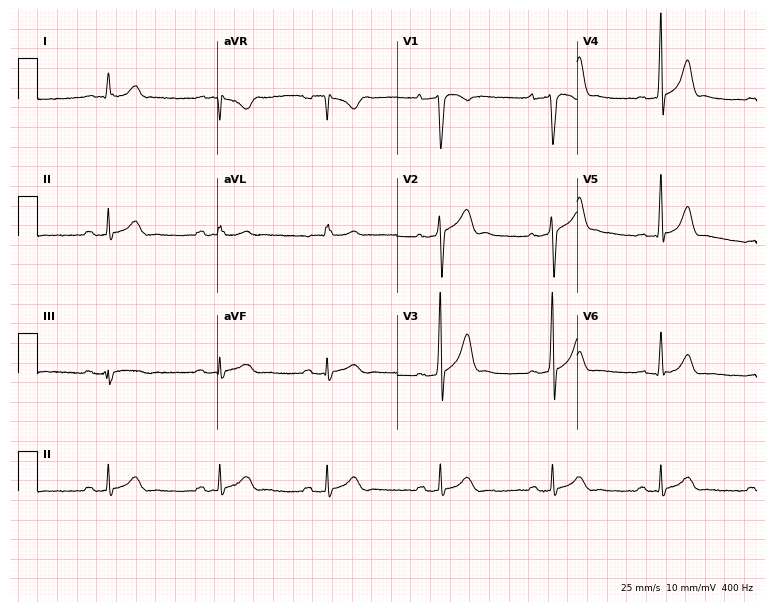
Resting 12-lead electrocardiogram (7.3-second recording at 400 Hz). Patient: a 38-year-old man. The tracing shows first-degree AV block.